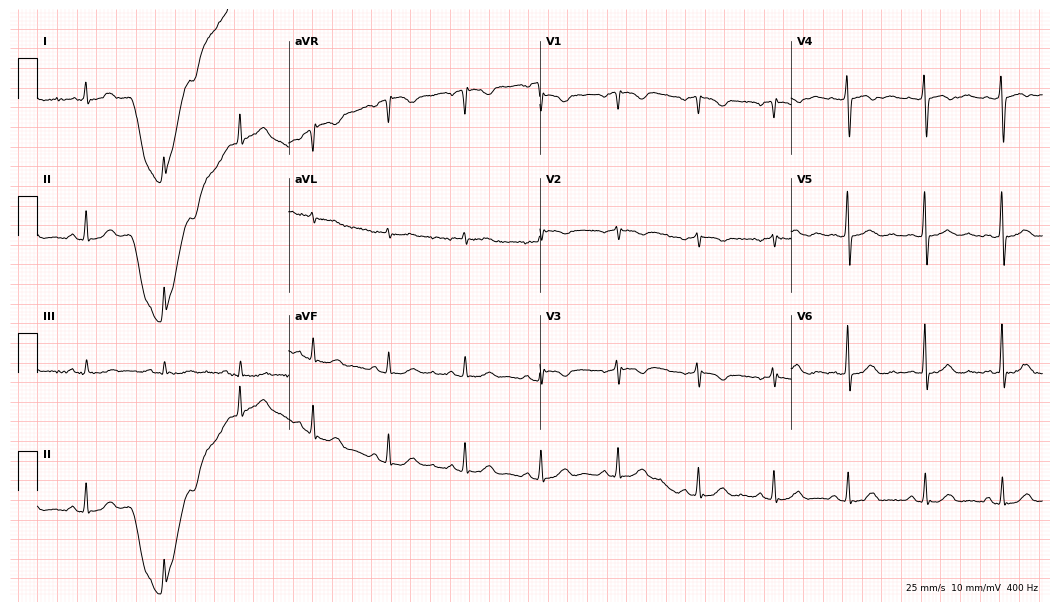
Electrocardiogram (10.2-second recording at 400 Hz), a female patient, 75 years old. Overall reading on record: normal ECG.